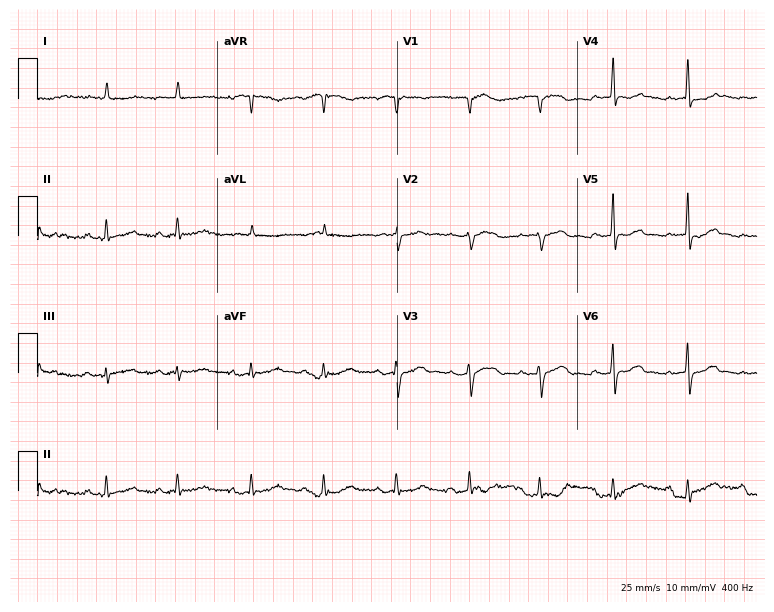
12-lead ECG from a 78-year-old male. Screened for six findings — first-degree AV block, right bundle branch block, left bundle branch block, sinus bradycardia, atrial fibrillation, sinus tachycardia — none is recorded. Other findings, if any, are not listed.